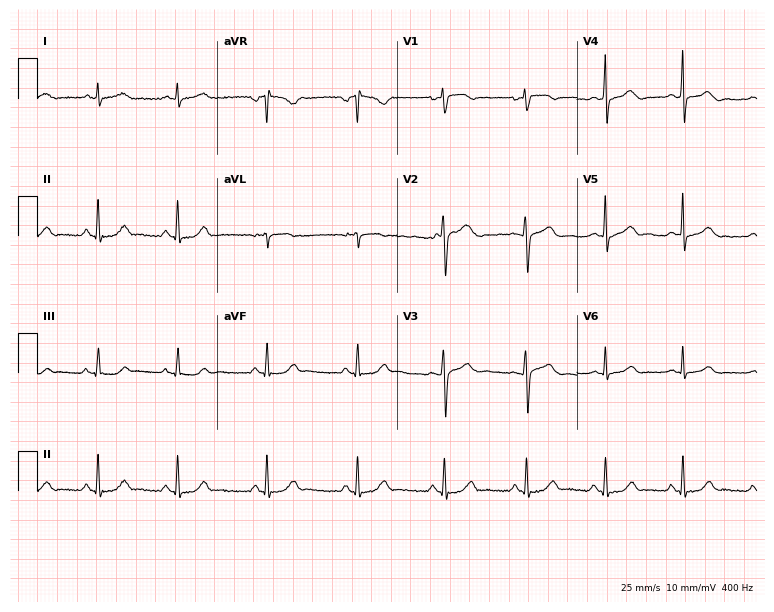
Standard 12-lead ECG recorded from a woman, 41 years old. Read as a normal ECG.